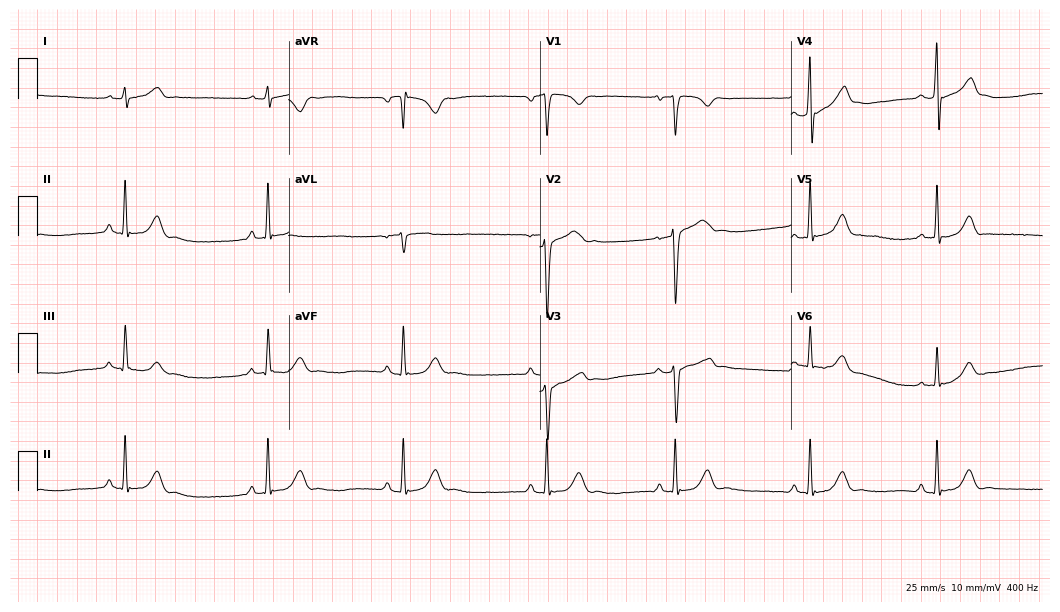
12-lead ECG from a 21-year-old male (10.2-second recording at 400 Hz). No first-degree AV block, right bundle branch block, left bundle branch block, sinus bradycardia, atrial fibrillation or sinus tachycardia recorded for this tracing.